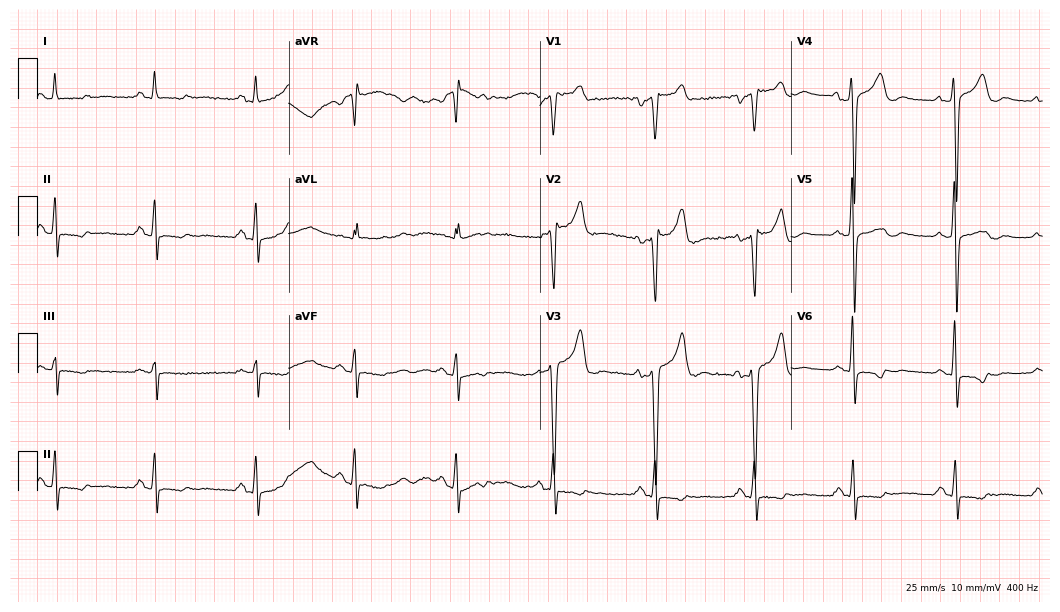
Standard 12-lead ECG recorded from a male, 43 years old. None of these six findings is recorded: first-degree AV block, right bundle branch block (RBBB), left bundle branch block (LBBB), sinus bradycardia, atrial fibrillation (AF), sinus tachycardia. Other findings, if any, are not listed.